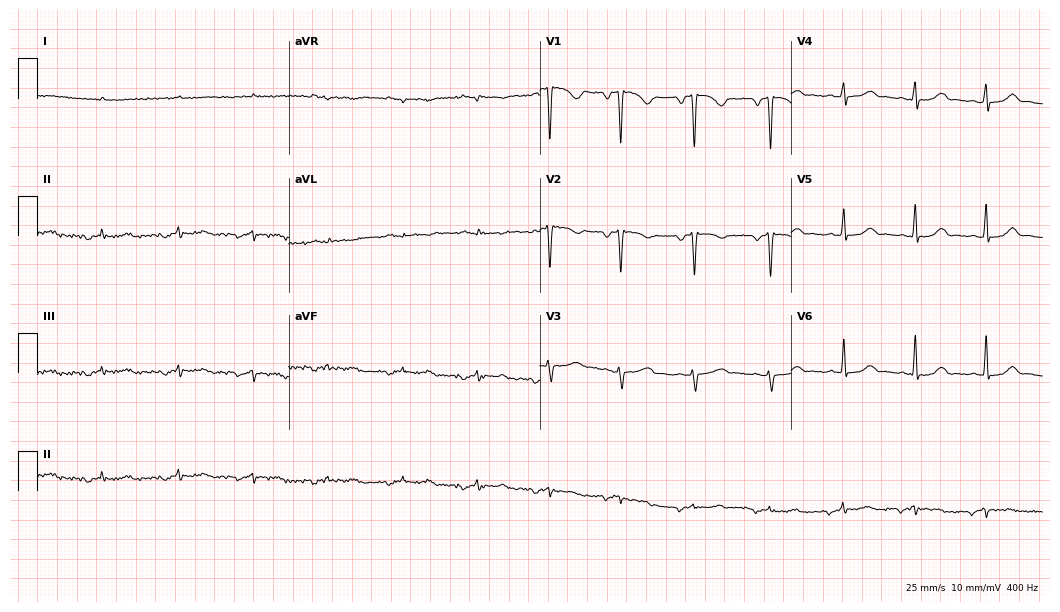
12-lead ECG from a woman, 50 years old (10.2-second recording at 400 Hz). No first-degree AV block, right bundle branch block (RBBB), left bundle branch block (LBBB), sinus bradycardia, atrial fibrillation (AF) or sinus tachycardia recorded for this tracing. Findings outside these six are not listed.